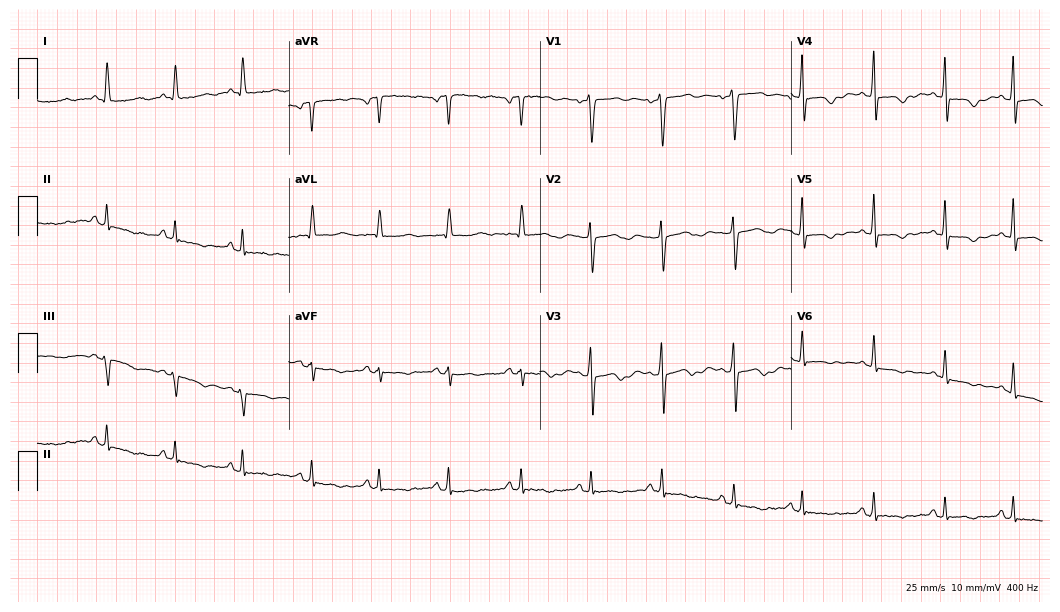
12-lead ECG from a 44-year-old female (10.2-second recording at 400 Hz). No first-degree AV block, right bundle branch block (RBBB), left bundle branch block (LBBB), sinus bradycardia, atrial fibrillation (AF) or sinus tachycardia recorded for this tracing. Only these six findings were labelled.